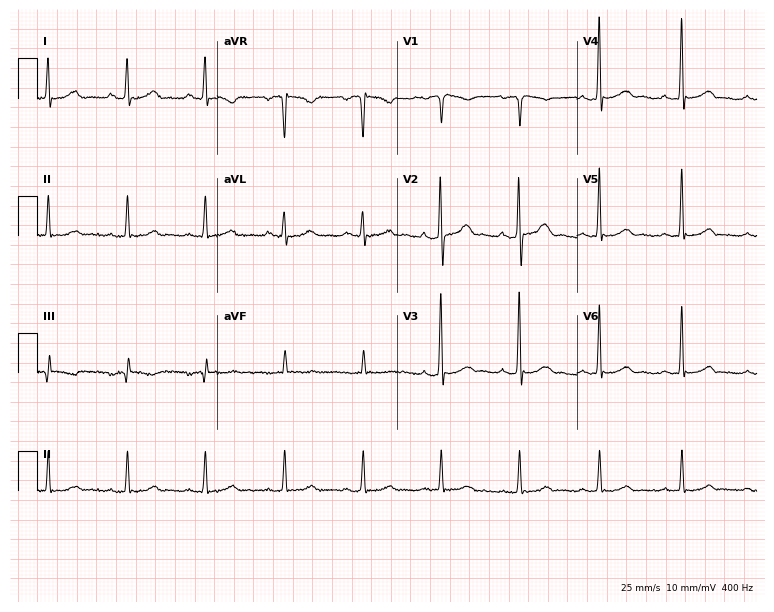
12-lead ECG from a 34-year-old man (7.3-second recording at 400 Hz). Recorded interpretation: within normal limits.